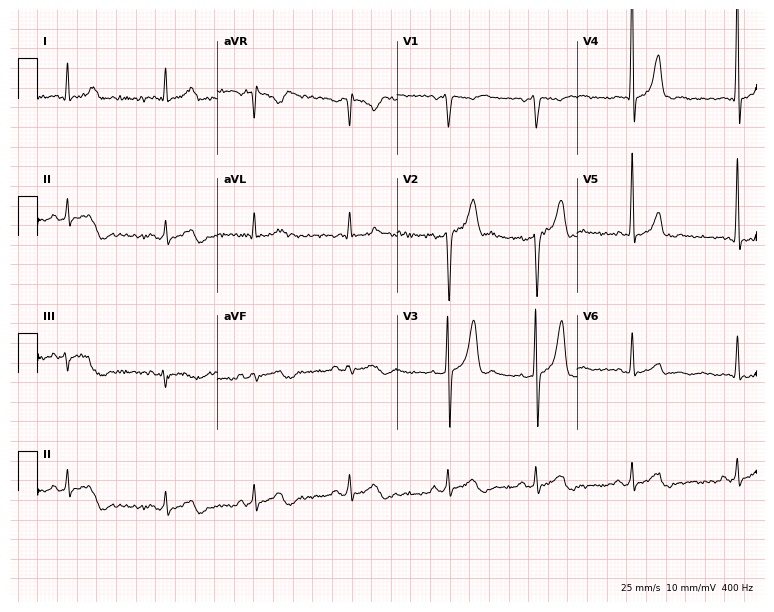
12-lead ECG from a man, 34 years old (7.3-second recording at 400 Hz). No first-degree AV block, right bundle branch block, left bundle branch block, sinus bradycardia, atrial fibrillation or sinus tachycardia recorded for this tracing.